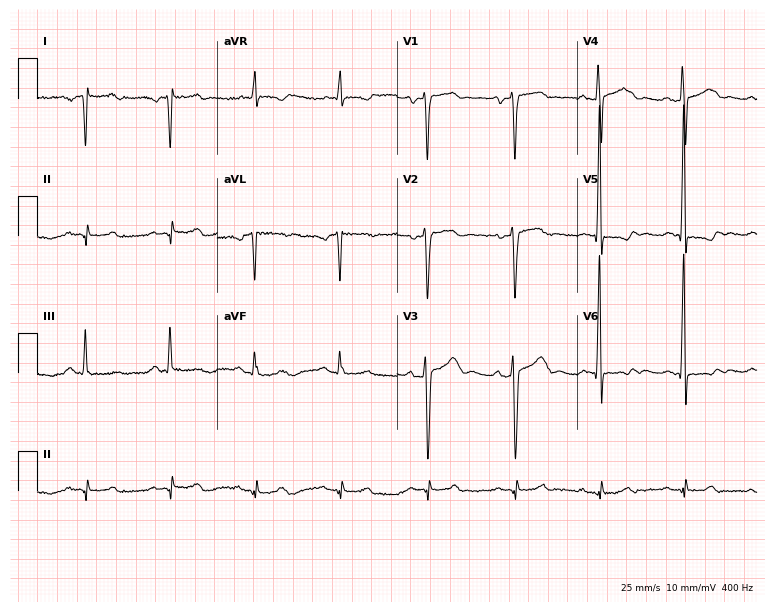
12-lead ECG from a male, 41 years old. No first-degree AV block, right bundle branch block (RBBB), left bundle branch block (LBBB), sinus bradycardia, atrial fibrillation (AF) or sinus tachycardia recorded for this tracing.